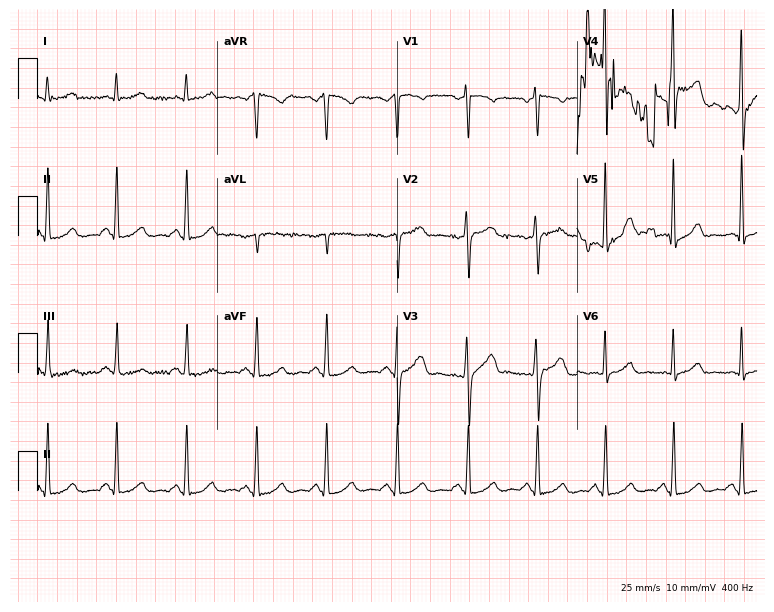
Electrocardiogram (7.3-second recording at 400 Hz), a 55-year-old male patient. Overall reading on record: normal ECG.